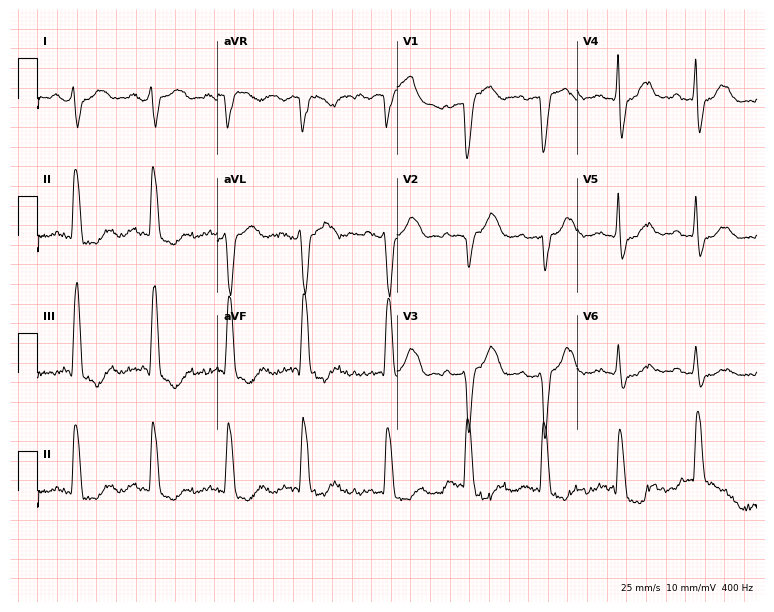
12-lead ECG (7.3-second recording at 400 Hz) from an 84-year-old woman. Findings include left bundle branch block.